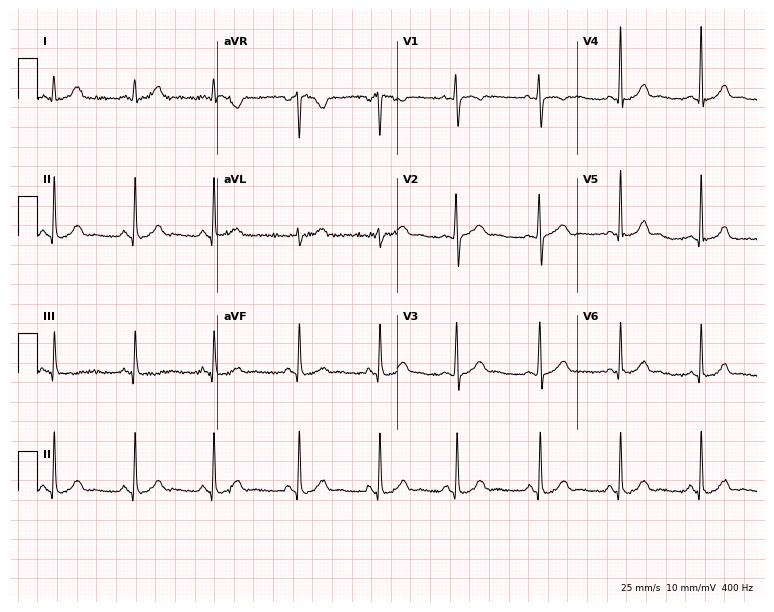
ECG — a 19-year-old female patient. Labelled as a normal ECG.